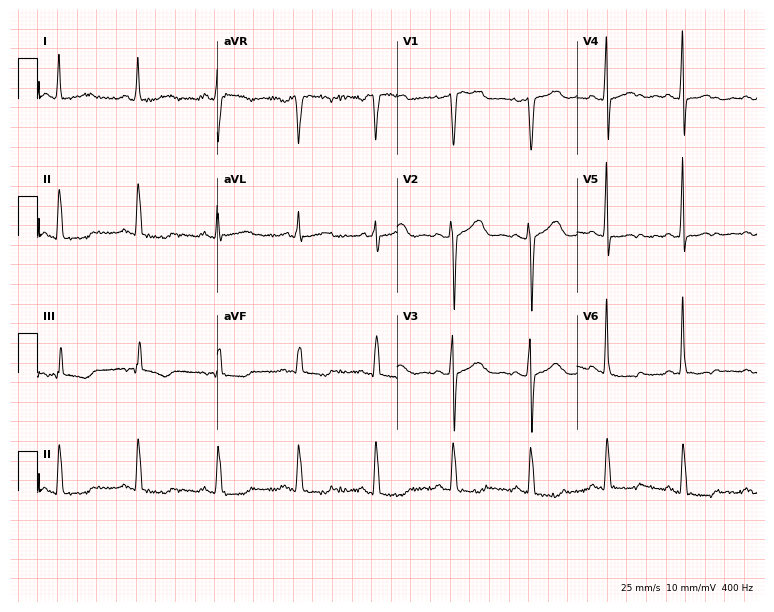
ECG — a female patient, 50 years old. Screened for six findings — first-degree AV block, right bundle branch block, left bundle branch block, sinus bradycardia, atrial fibrillation, sinus tachycardia — none is recorded. Other findings, if any, are not listed.